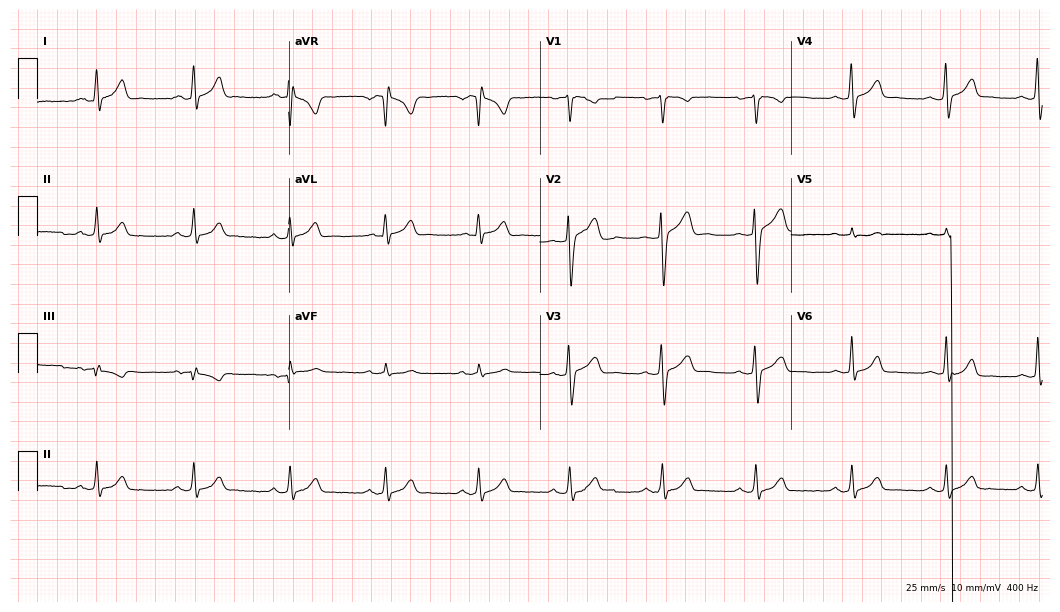
Standard 12-lead ECG recorded from a male, 31 years old (10.2-second recording at 400 Hz). None of these six findings is recorded: first-degree AV block, right bundle branch block (RBBB), left bundle branch block (LBBB), sinus bradycardia, atrial fibrillation (AF), sinus tachycardia. Findings outside these six are not listed.